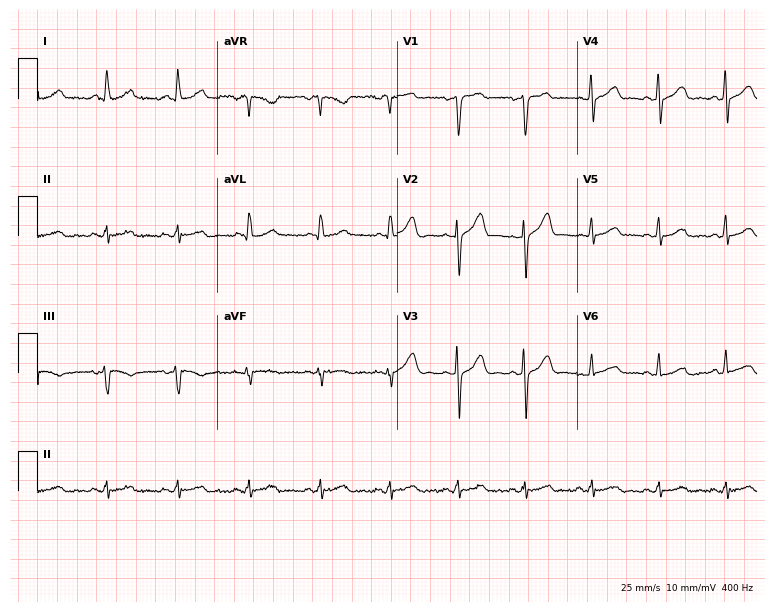
Electrocardiogram, a male patient, 57 years old. Overall reading on record: normal ECG.